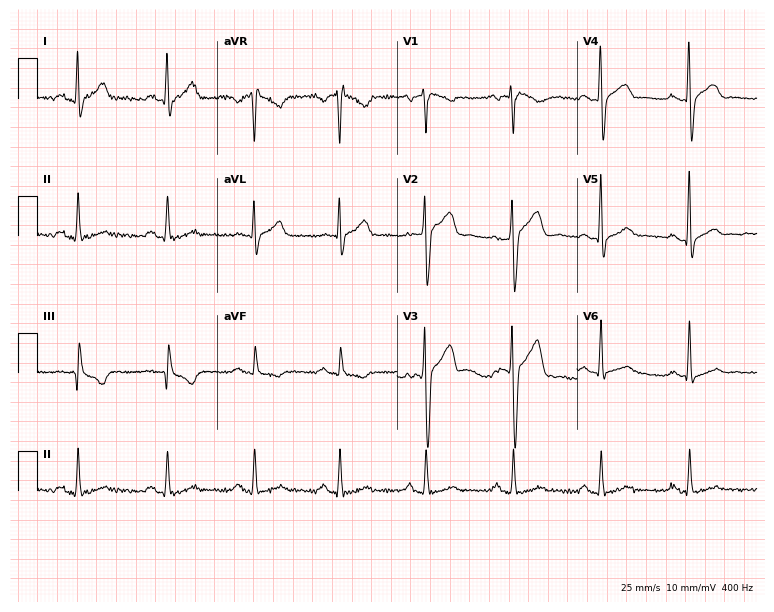
Electrocardiogram, a 50-year-old man. Overall reading on record: normal ECG.